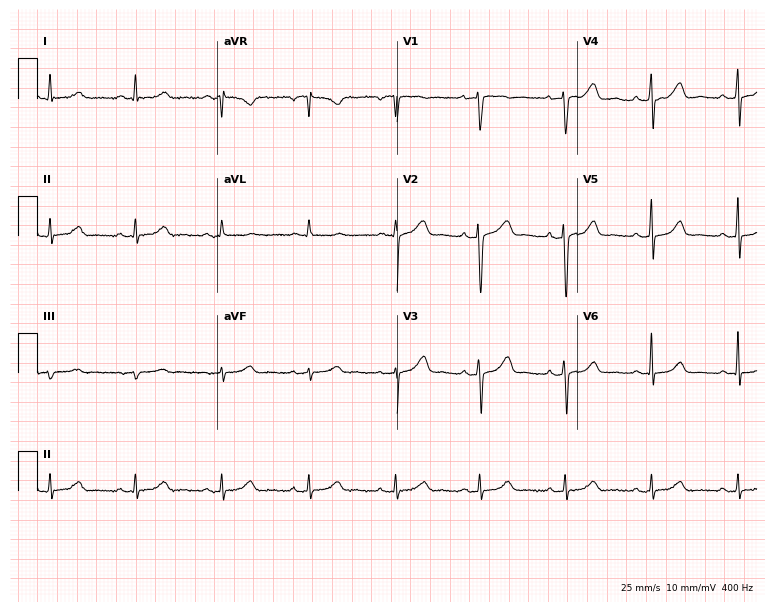
Resting 12-lead electrocardiogram. Patient: a 47-year-old female. None of these six findings is recorded: first-degree AV block, right bundle branch block, left bundle branch block, sinus bradycardia, atrial fibrillation, sinus tachycardia.